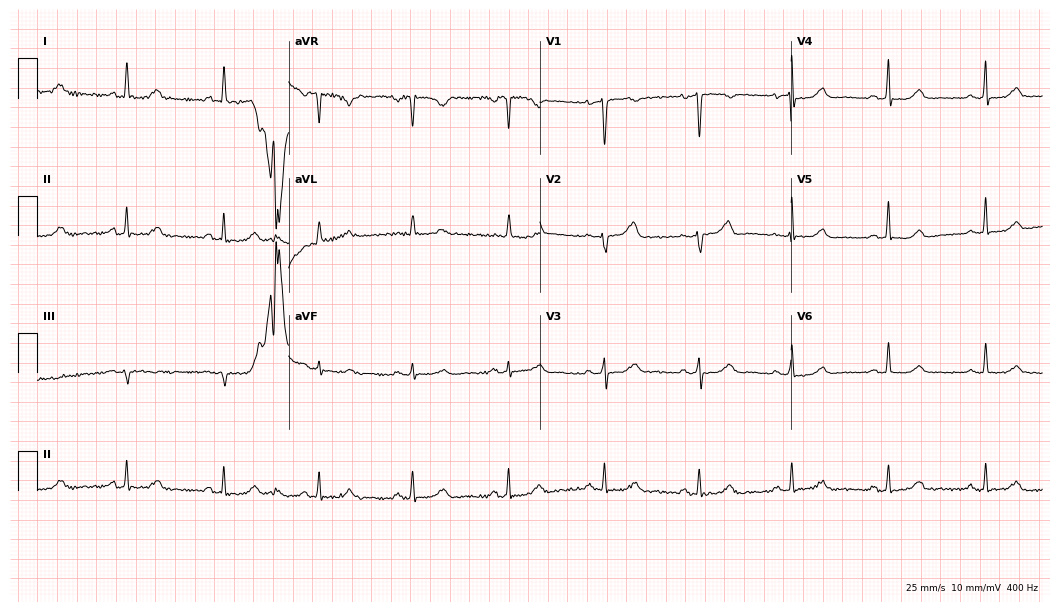
Standard 12-lead ECG recorded from a female, 66 years old. None of these six findings is recorded: first-degree AV block, right bundle branch block, left bundle branch block, sinus bradycardia, atrial fibrillation, sinus tachycardia.